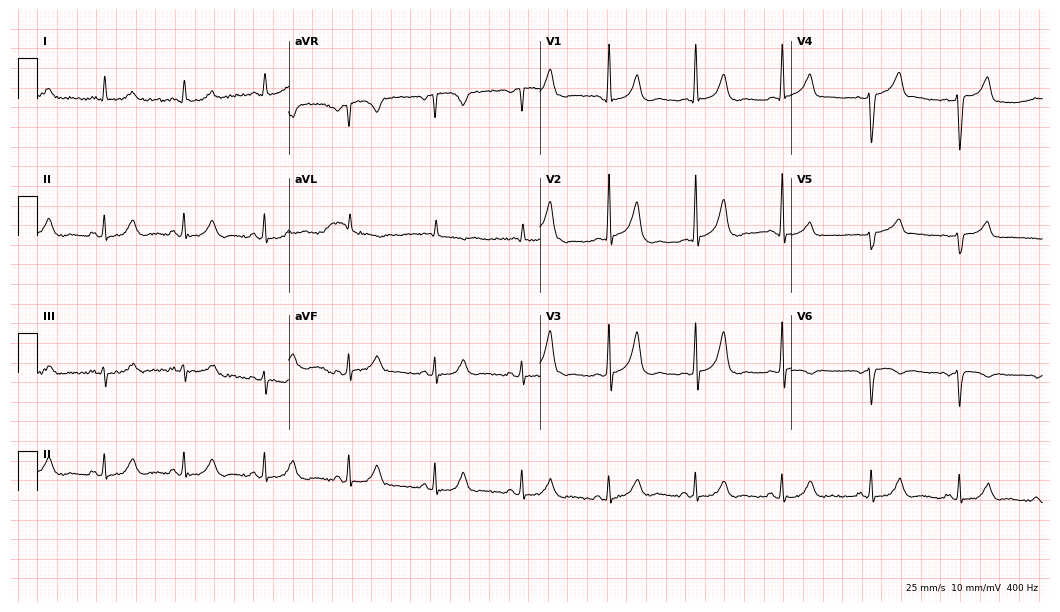
12-lead ECG from a 64-year-old man. Screened for six findings — first-degree AV block, right bundle branch block, left bundle branch block, sinus bradycardia, atrial fibrillation, sinus tachycardia — none is recorded. Findings outside these six are not listed.